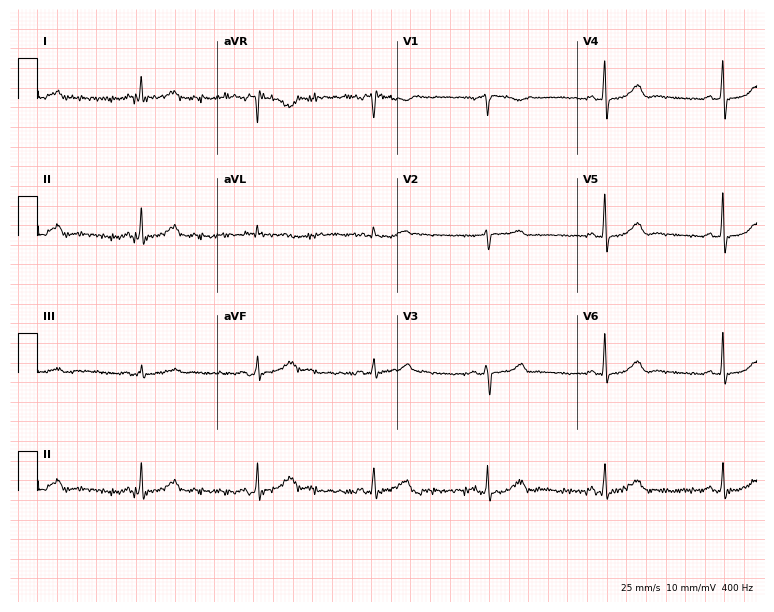
12-lead ECG from a 72-year-old woman. Recorded interpretation: within normal limits.